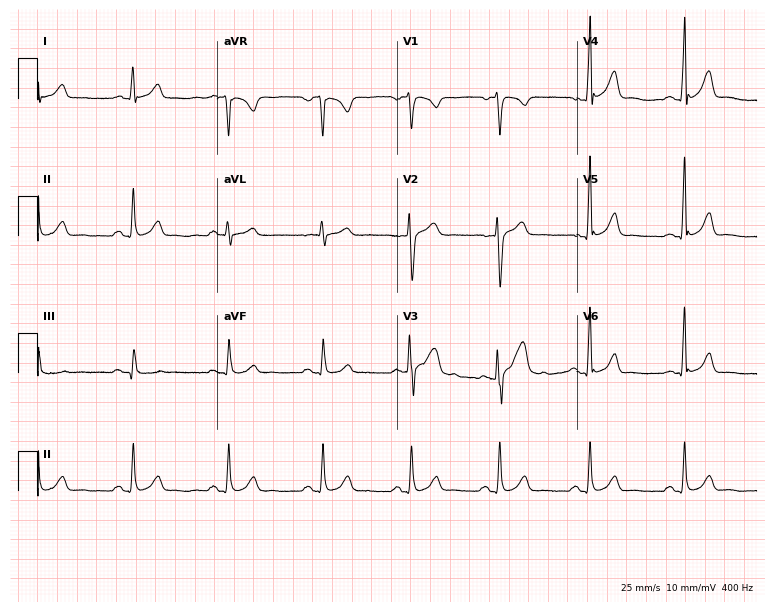
Electrocardiogram (7.3-second recording at 400 Hz), a male patient, 35 years old. Overall reading on record: normal ECG.